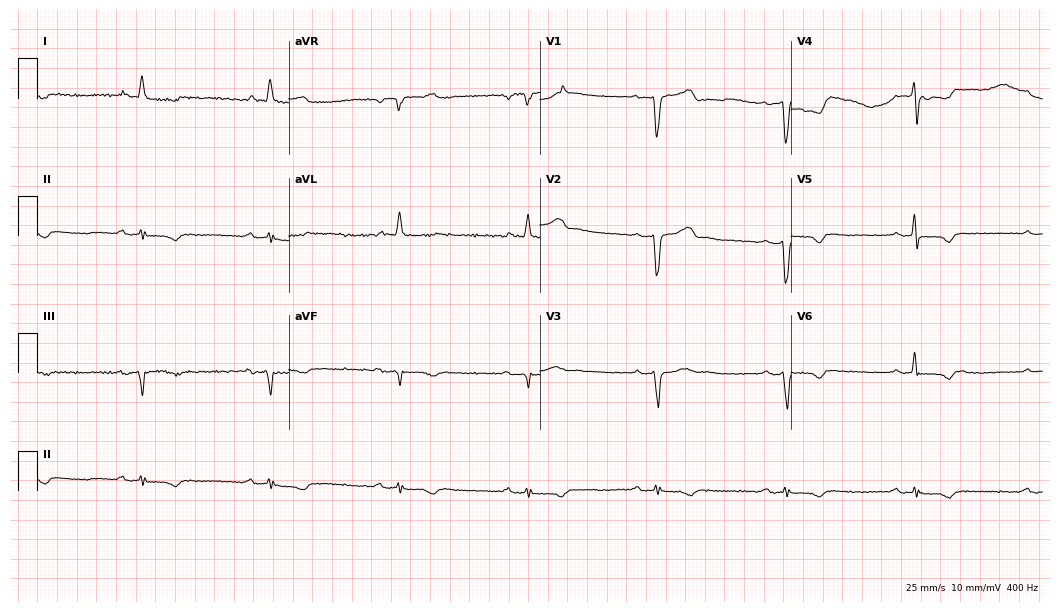
12-lead ECG (10.2-second recording at 400 Hz) from a 57-year-old man. Findings include first-degree AV block, sinus bradycardia (a sinus rate of 50 beats per minute or less).